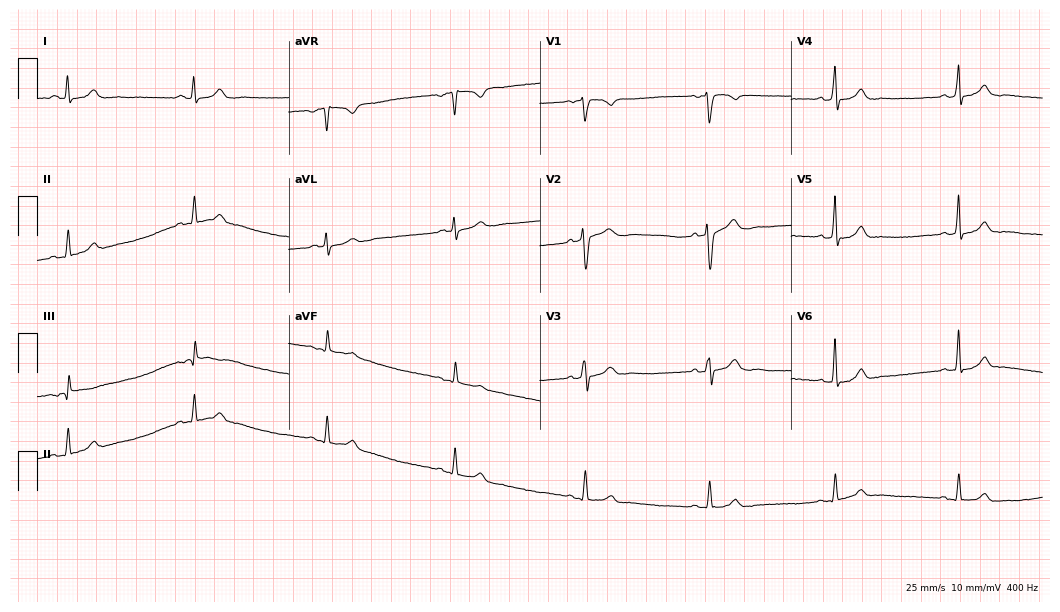
12-lead ECG (10.2-second recording at 400 Hz) from a male, 41 years old. Screened for six findings — first-degree AV block, right bundle branch block (RBBB), left bundle branch block (LBBB), sinus bradycardia, atrial fibrillation (AF), sinus tachycardia — none is recorded.